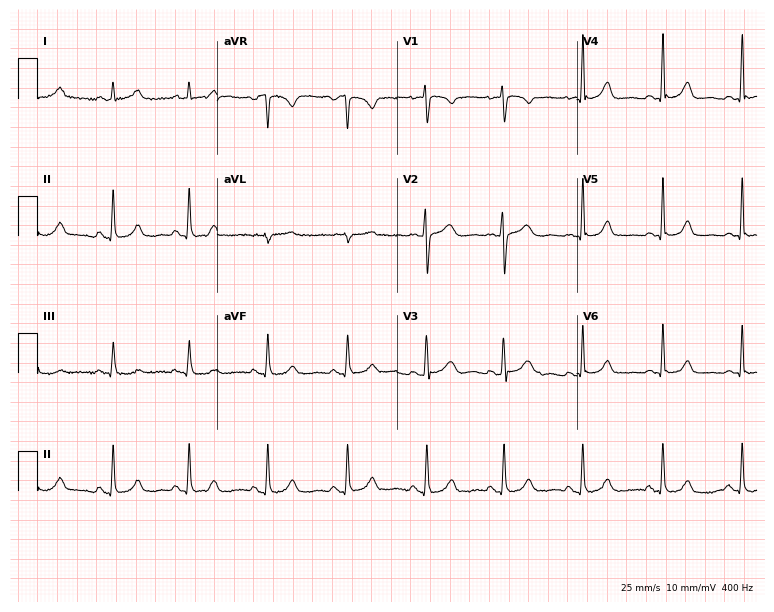
ECG — a female, 49 years old. Labelled as a normal ECG.